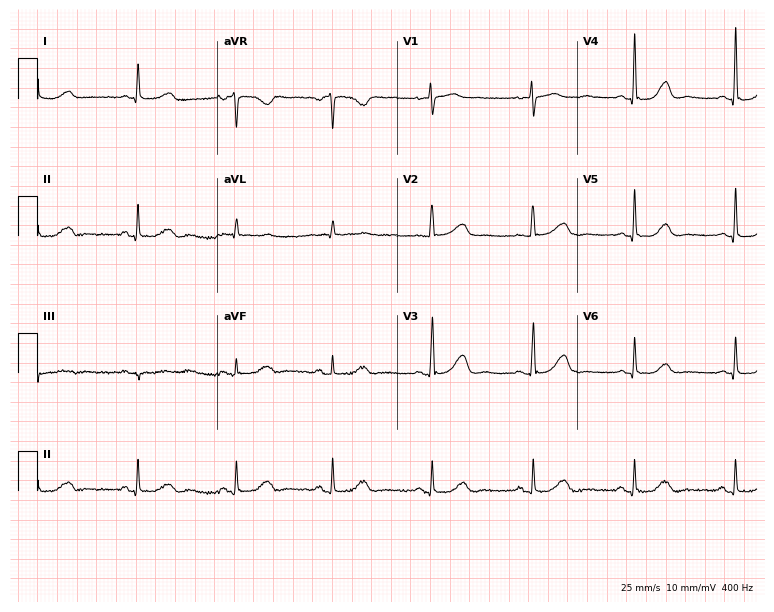
12-lead ECG from a female patient, 68 years old. Labelled as a normal ECG.